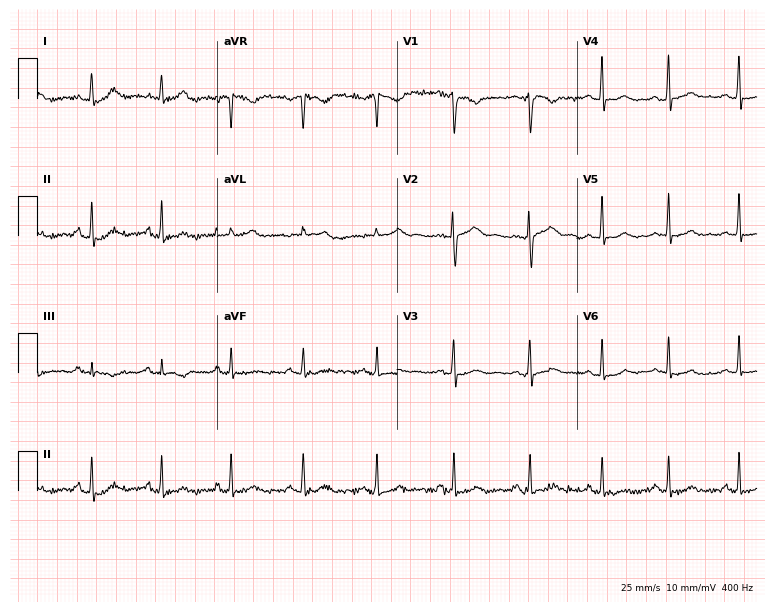
12-lead ECG from a 20-year-old woman. Recorded interpretation: within normal limits.